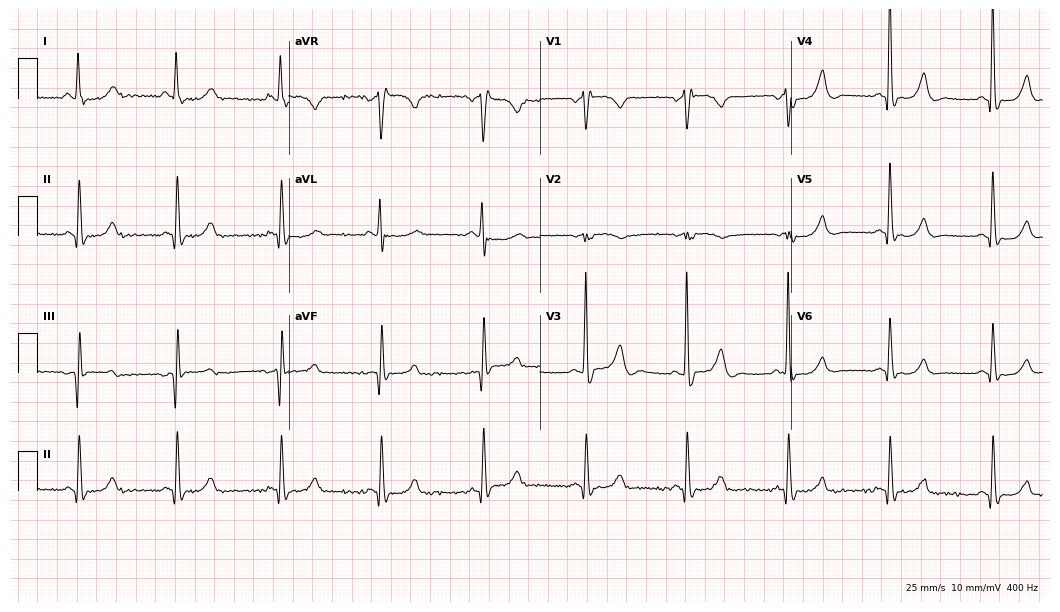
ECG — a woman, 59 years old. Findings include right bundle branch block (RBBB).